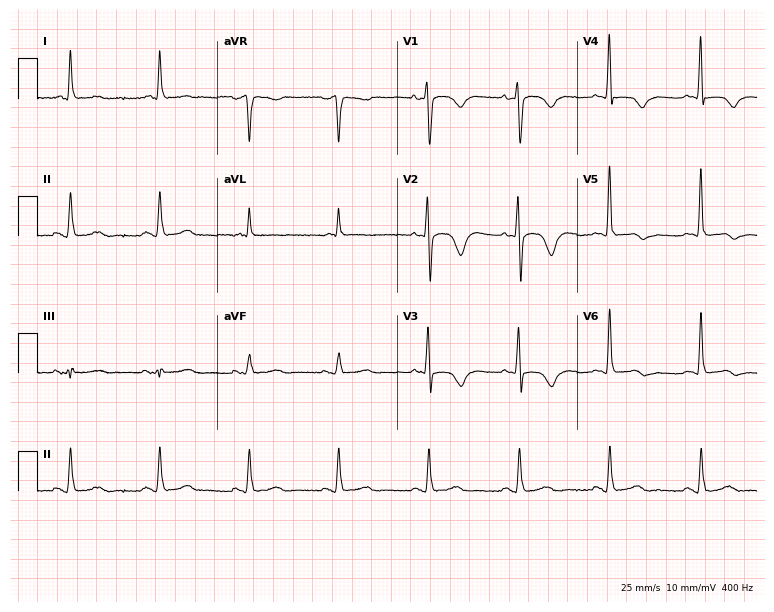
12-lead ECG (7.3-second recording at 400 Hz) from a 76-year-old female patient. Labelled as a normal ECG.